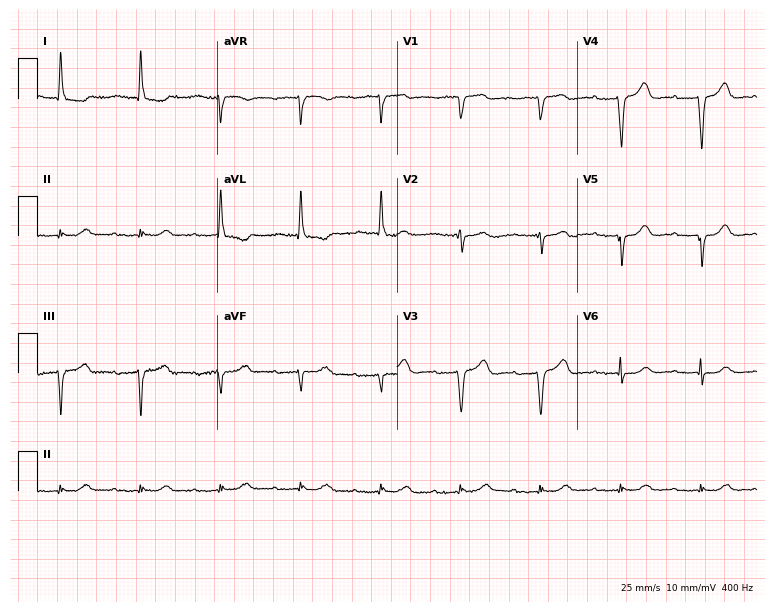
Resting 12-lead electrocardiogram. Patient: an 82-year-old female. The tracing shows first-degree AV block.